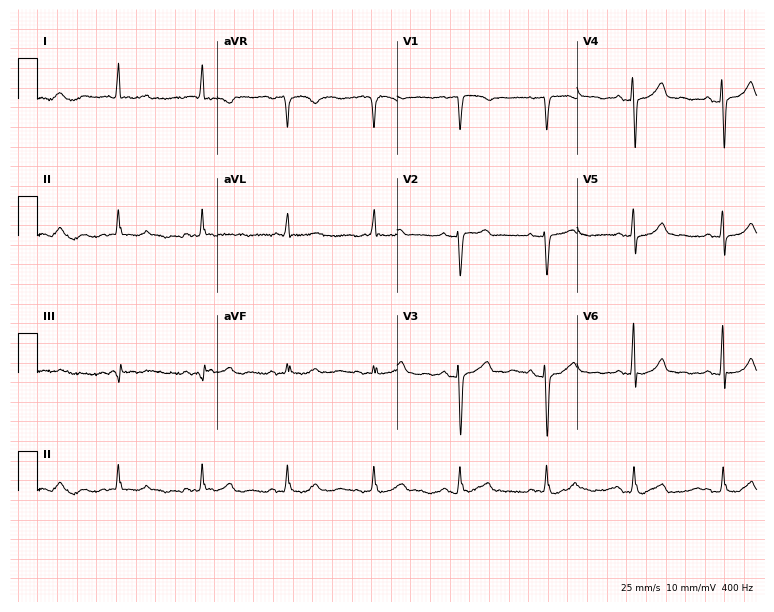
12-lead ECG from an 82-year-old man. Recorded interpretation: within normal limits.